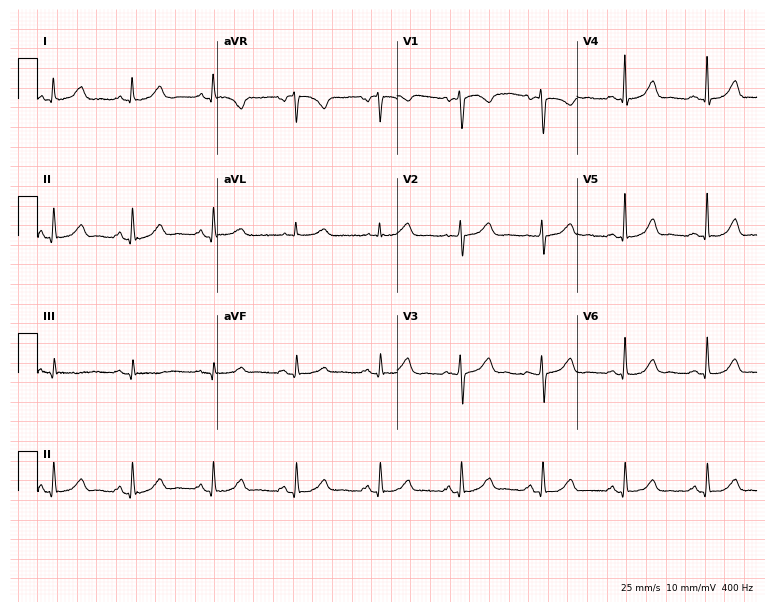
ECG — a female patient, 55 years old. Labelled as a normal ECG.